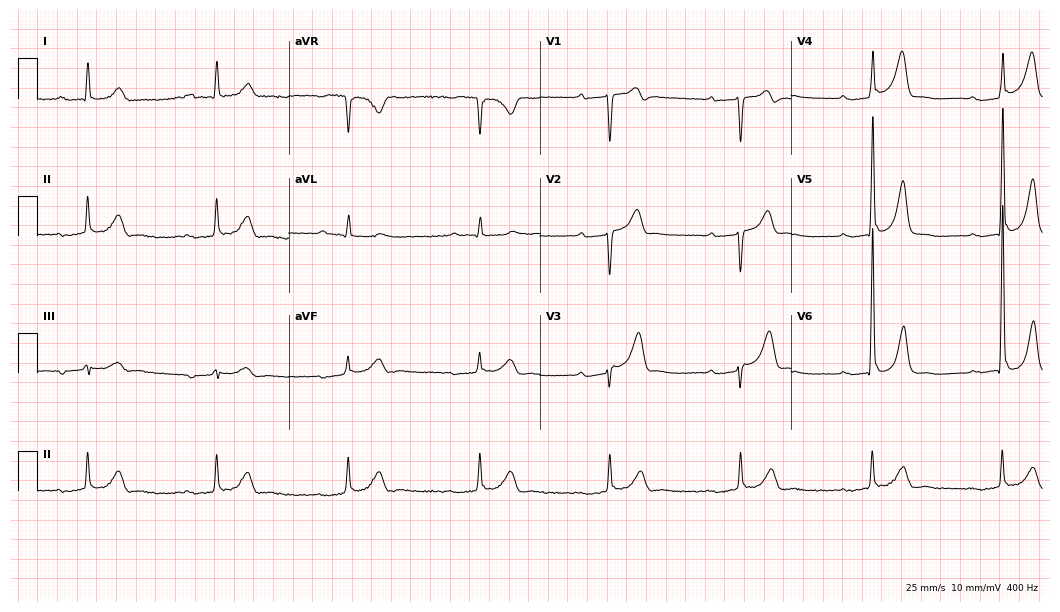
Resting 12-lead electrocardiogram. Patient: a man, 65 years old. The tracing shows first-degree AV block, sinus bradycardia (a sinus rate of 50 beats per minute or less).